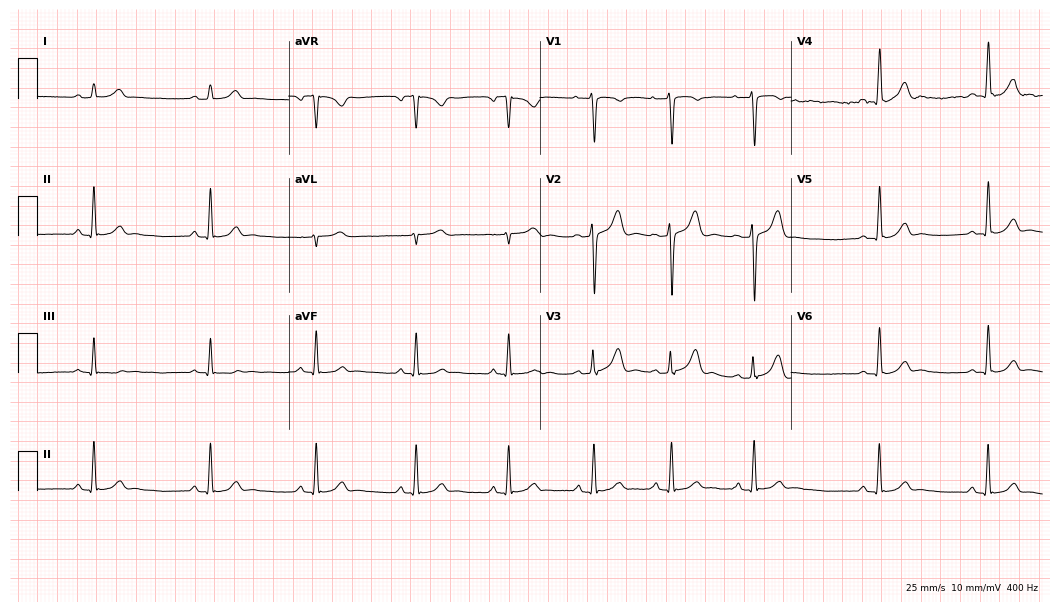
Standard 12-lead ECG recorded from a 24-year-old female (10.2-second recording at 400 Hz). Read as a normal ECG.